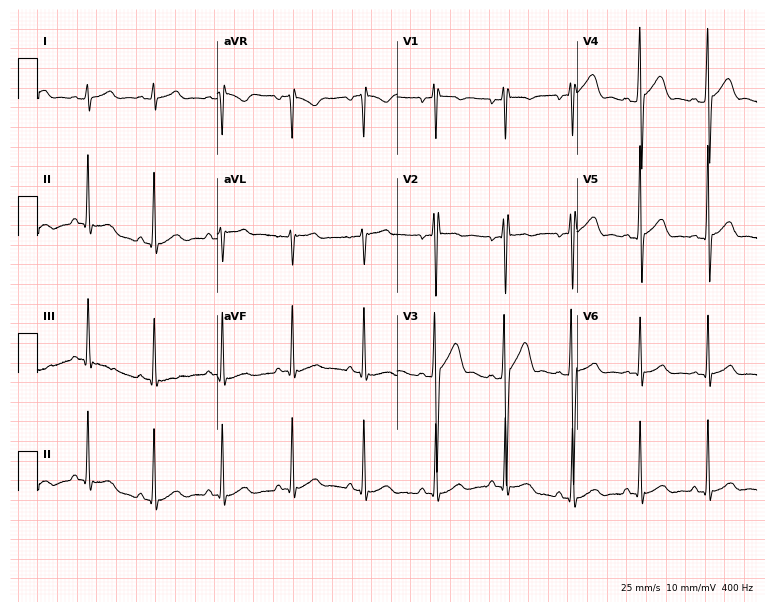
Standard 12-lead ECG recorded from a male, 17 years old (7.3-second recording at 400 Hz). Read as a normal ECG.